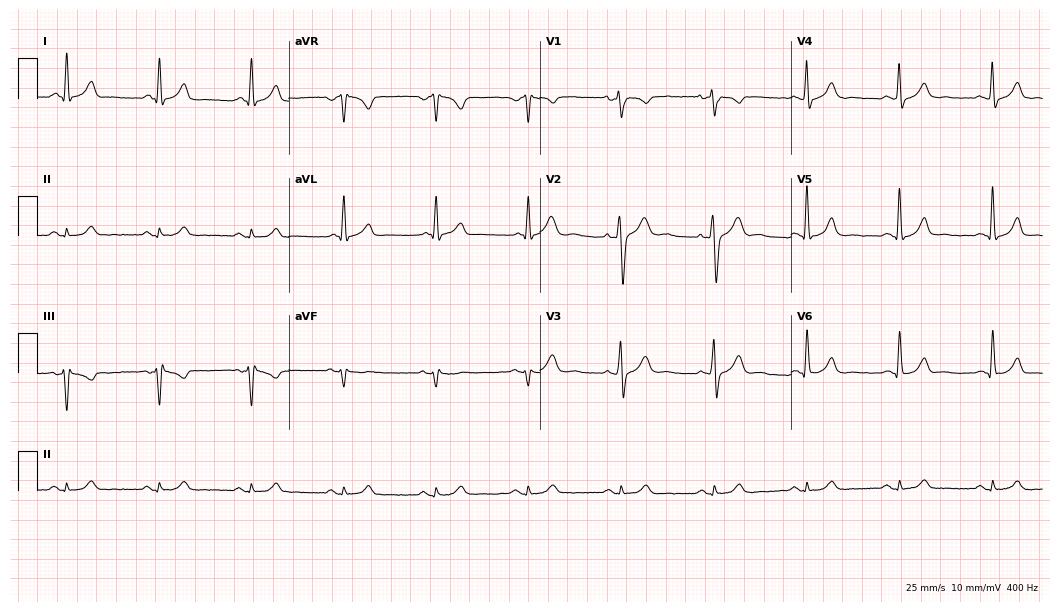
Resting 12-lead electrocardiogram. Patient: a man, 41 years old. None of these six findings is recorded: first-degree AV block, right bundle branch block, left bundle branch block, sinus bradycardia, atrial fibrillation, sinus tachycardia. Only these six findings were labelled.